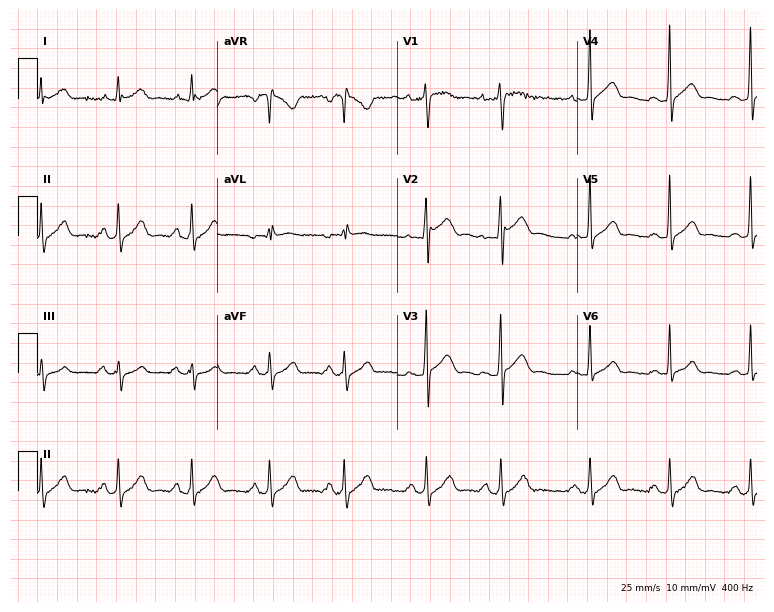
Standard 12-lead ECG recorded from a 23-year-old male. None of these six findings is recorded: first-degree AV block, right bundle branch block, left bundle branch block, sinus bradycardia, atrial fibrillation, sinus tachycardia. Findings outside these six are not listed.